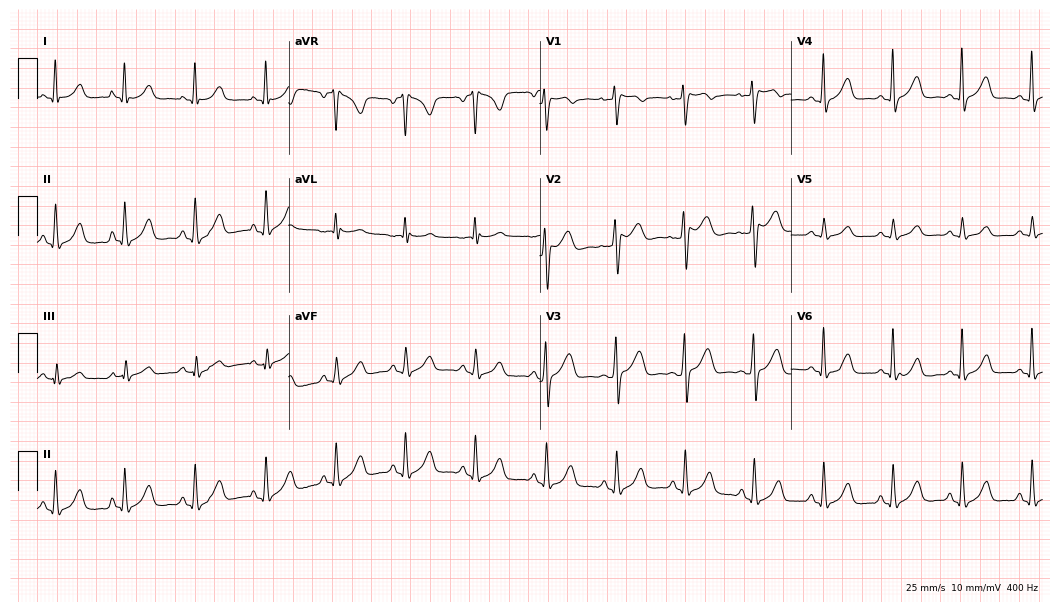
ECG — a female patient, 31 years old. Labelled as a normal ECG.